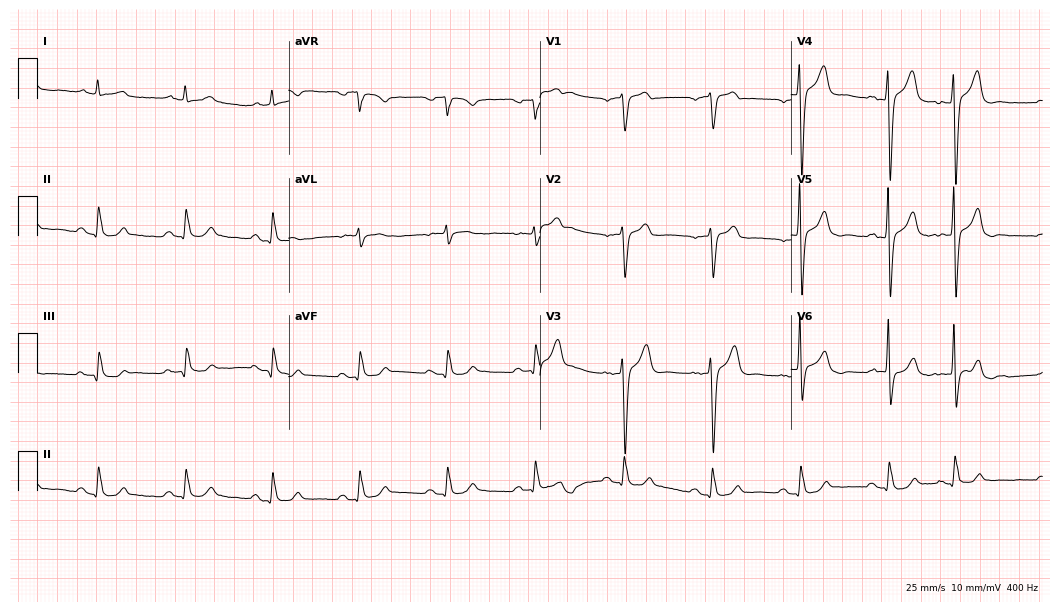
12-lead ECG from a man, 79 years old. No first-degree AV block, right bundle branch block (RBBB), left bundle branch block (LBBB), sinus bradycardia, atrial fibrillation (AF) or sinus tachycardia recorded for this tracing. Findings outside these six are not listed.